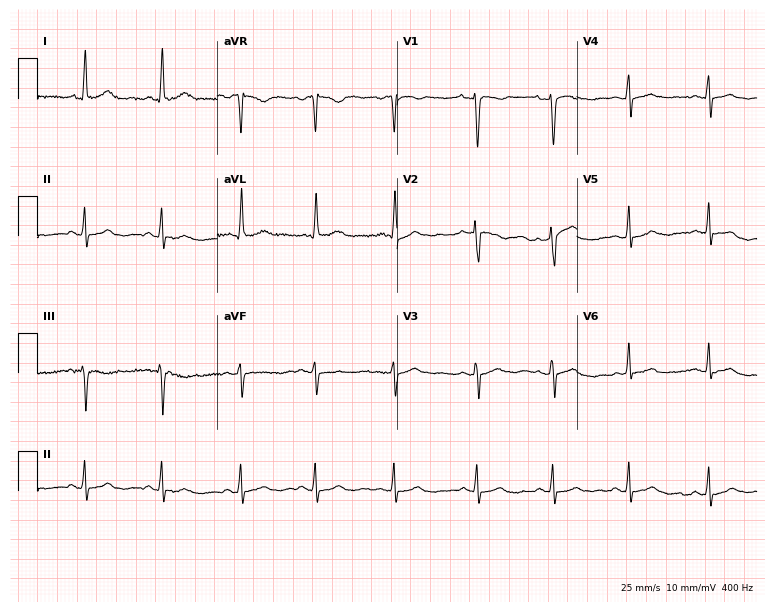
Resting 12-lead electrocardiogram (7.3-second recording at 400 Hz). Patient: a 33-year-old woman. None of these six findings is recorded: first-degree AV block, right bundle branch block (RBBB), left bundle branch block (LBBB), sinus bradycardia, atrial fibrillation (AF), sinus tachycardia.